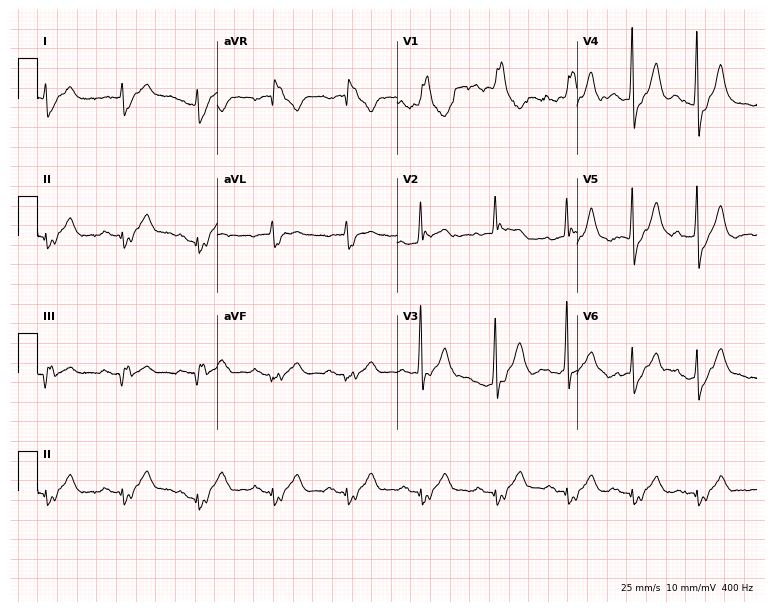
ECG — an 81-year-old male patient. Screened for six findings — first-degree AV block, right bundle branch block (RBBB), left bundle branch block (LBBB), sinus bradycardia, atrial fibrillation (AF), sinus tachycardia — none is recorded. Only these six findings were labelled.